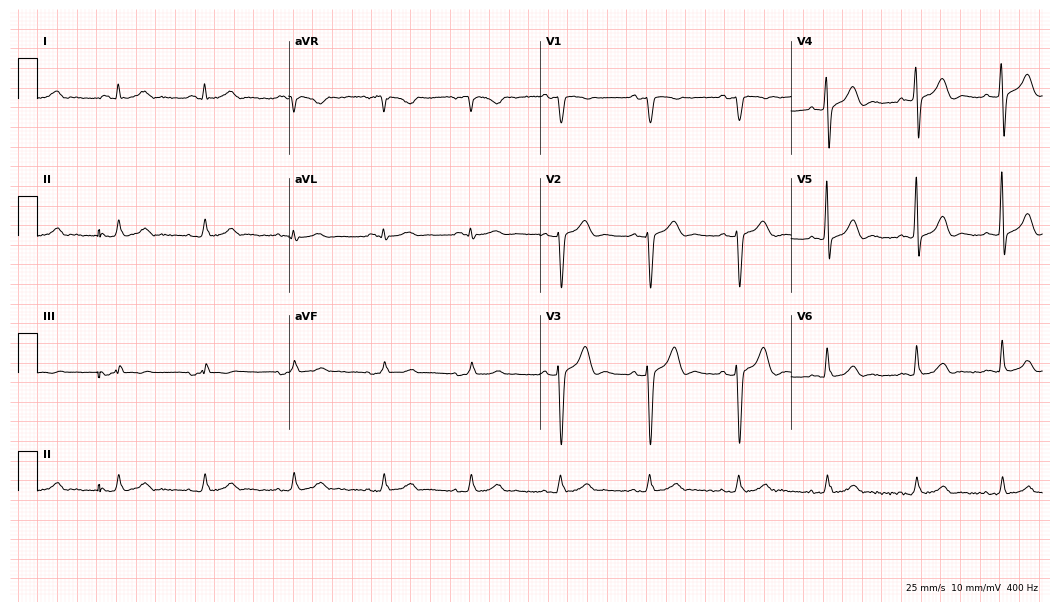
12-lead ECG from a 73-year-old male patient (10.2-second recording at 400 Hz). No first-degree AV block, right bundle branch block (RBBB), left bundle branch block (LBBB), sinus bradycardia, atrial fibrillation (AF) or sinus tachycardia recorded for this tracing.